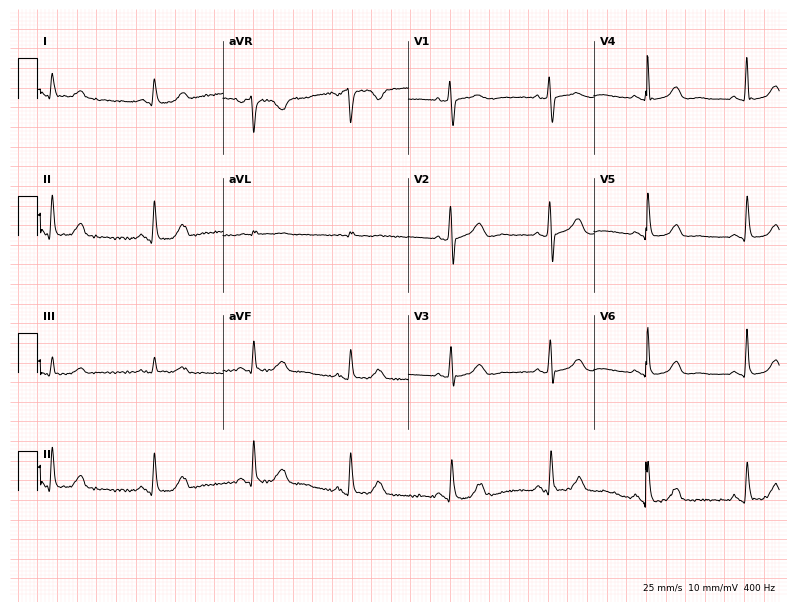
Standard 12-lead ECG recorded from a female patient, 60 years old (7.6-second recording at 400 Hz). None of these six findings is recorded: first-degree AV block, right bundle branch block, left bundle branch block, sinus bradycardia, atrial fibrillation, sinus tachycardia. Other findings, if any, are not listed.